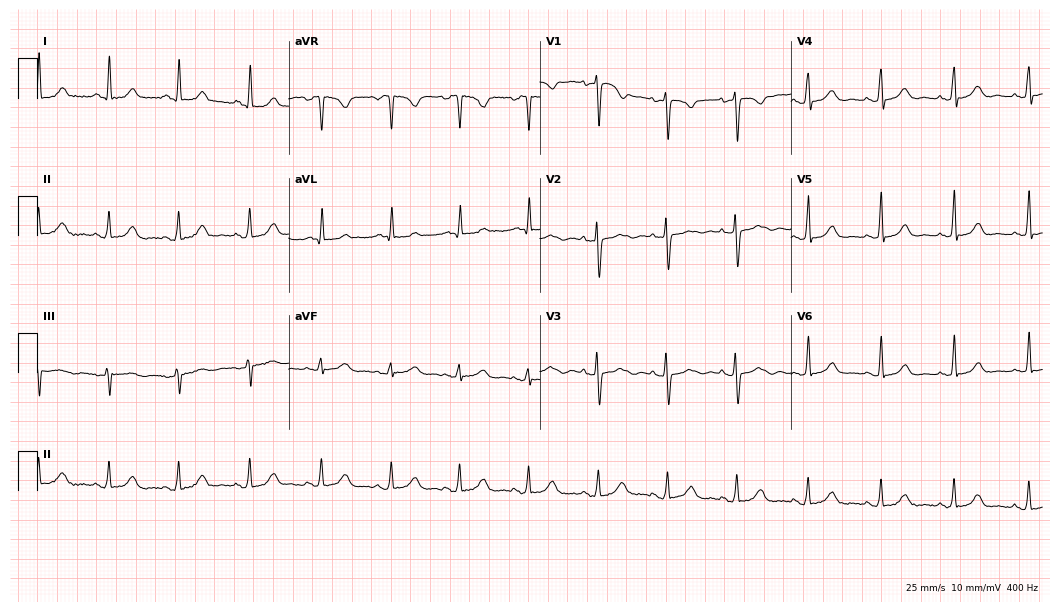
Resting 12-lead electrocardiogram (10.2-second recording at 400 Hz). Patient: a 38-year-old female. None of these six findings is recorded: first-degree AV block, right bundle branch block, left bundle branch block, sinus bradycardia, atrial fibrillation, sinus tachycardia. Other findings, if any, are not listed.